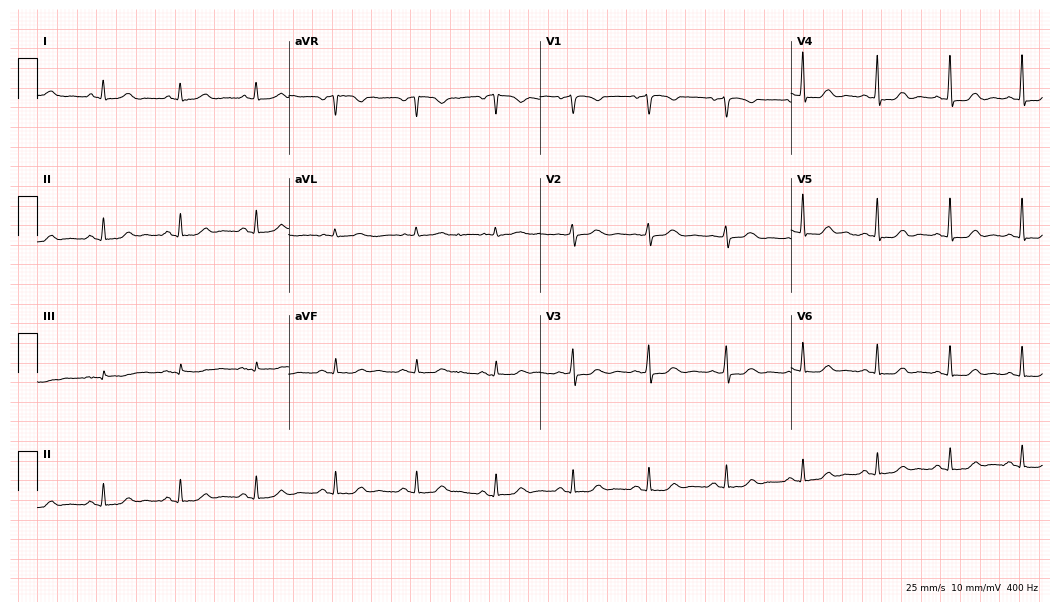
12-lead ECG from a 59-year-old female (10.2-second recording at 400 Hz). No first-degree AV block, right bundle branch block, left bundle branch block, sinus bradycardia, atrial fibrillation or sinus tachycardia recorded for this tracing.